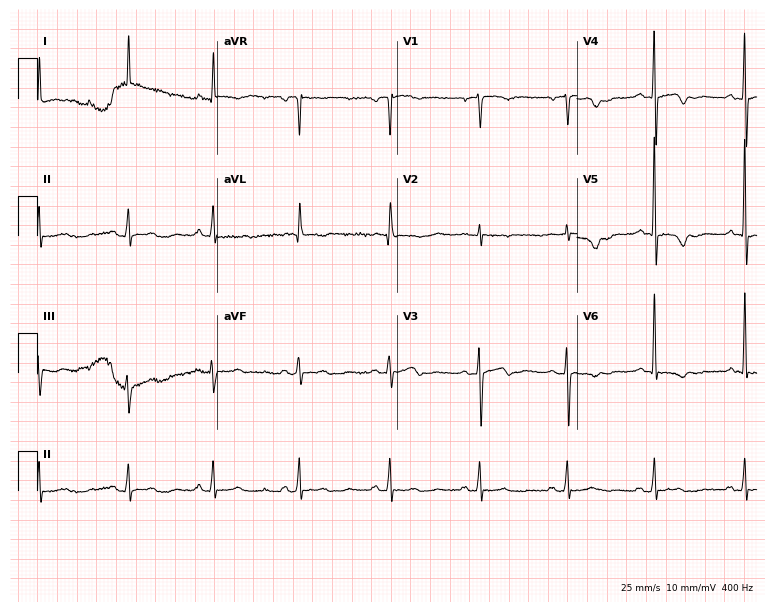
Electrocardiogram, a female patient, 76 years old. Of the six screened findings (first-degree AV block, right bundle branch block (RBBB), left bundle branch block (LBBB), sinus bradycardia, atrial fibrillation (AF), sinus tachycardia), none is recorded. Only these six findings were labelled.